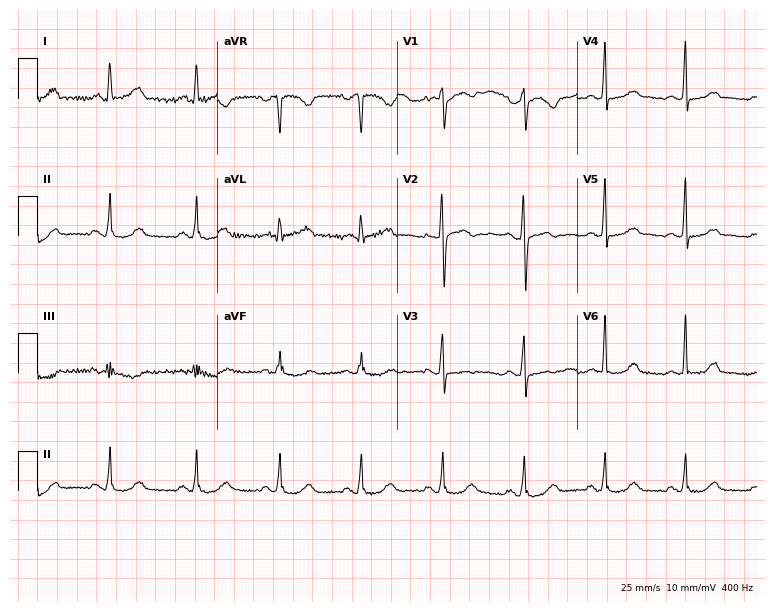
12-lead ECG from a 48-year-old female (7.3-second recording at 400 Hz). Recorded interpretation: within normal limits.